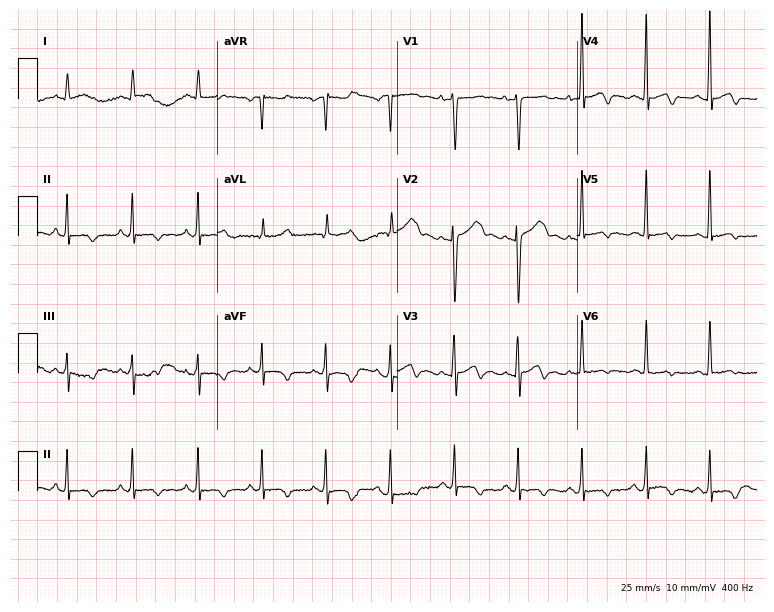
ECG — a woman, 37 years old. Screened for six findings — first-degree AV block, right bundle branch block, left bundle branch block, sinus bradycardia, atrial fibrillation, sinus tachycardia — none is recorded.